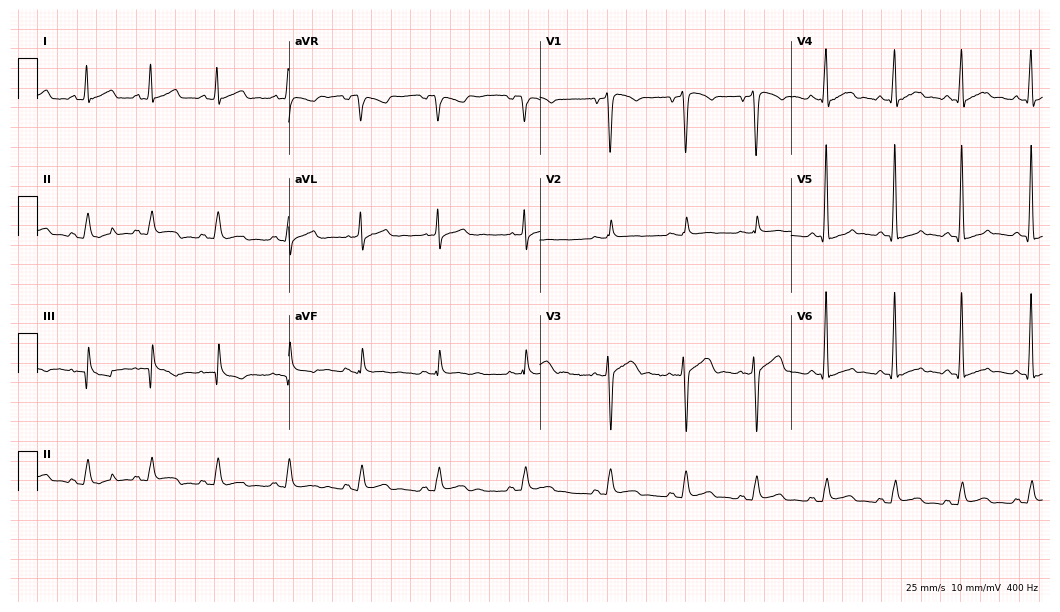
Electrocardiogram (10.2-second recording at 400 Hz), a male patient, 36 years old. Of the six screened findings (first-degree AV block, right bundle branch block (RBBB), left bundle branch block (LBBB), sinus bradycardia, atrial fibrillation (AF), sinus tachycardia), none is recorded. Only these six findings were labelled.